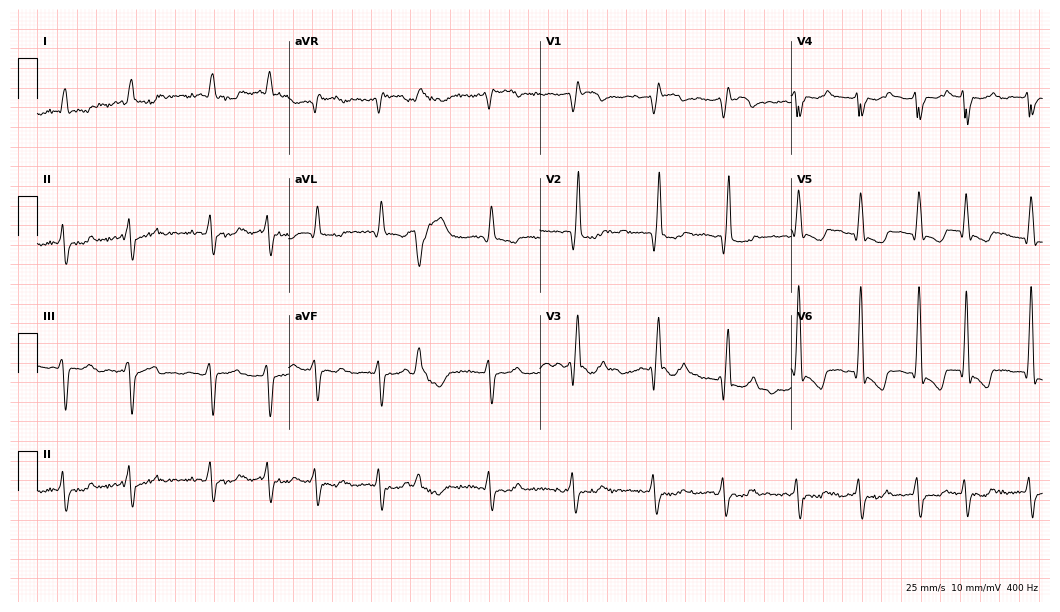
12-lead ECG (10.2-second recording at 400 Hz) from a male patient, 81 years old. Findings include right bundle branch block (RBBB), atrial fibrillation (AF).